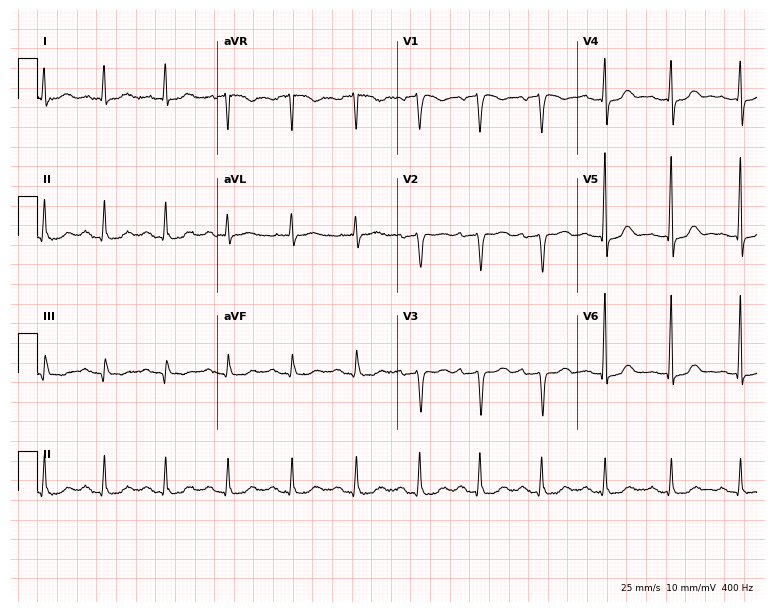
Resting 12-lead electrocardiogram (7.3-second recording at 400 Hz). Patient: a female, 75 years old. None of these six findings is recorded: first-degree AV block, right bundle branch block, left bundle branch block, sinus bradycardia, atrial fibrillation, sinus tachycardia.